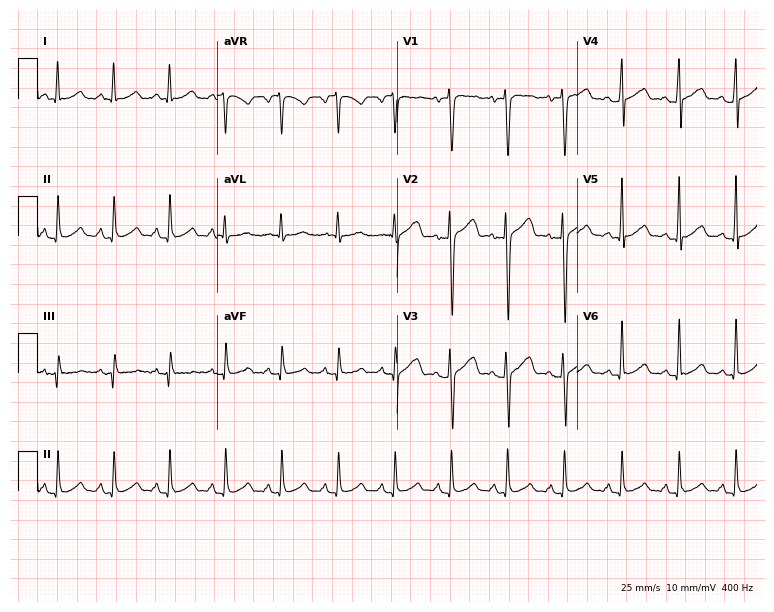
12-lead ECG from a woman, 29 years old (7.3-second recording at 400 Hz). Shows sinus tachycardia (a sinus rate of 100 beats per minute or more).